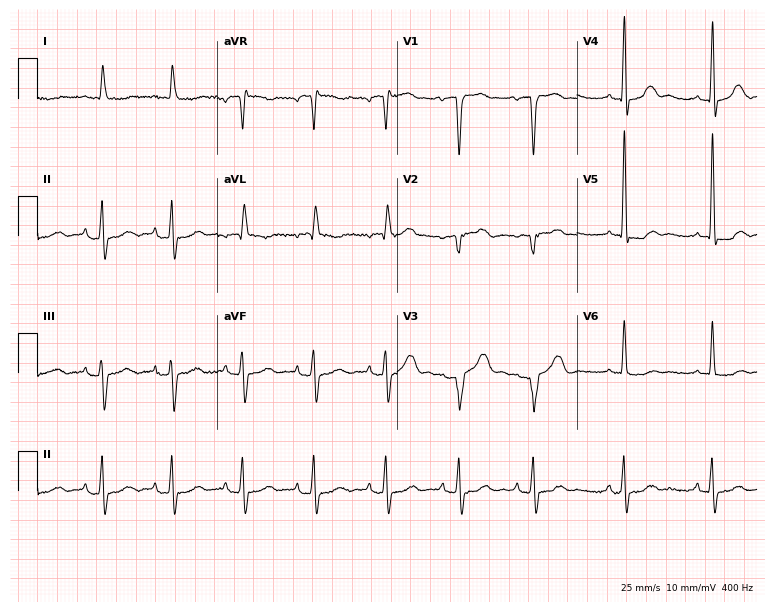
Resting 12-lead electrocardiogram (7.3-second recording at 400 Hz). Patient: an 80-year-old woman. None of these six findings is recorded: first-degree AV block, right bundle branch block (RBBB), left bundle branch block (LBBB), sinus bradycardia, atrial fibrillation (AF), sinus tachycardia. Only these six findings were labelled.